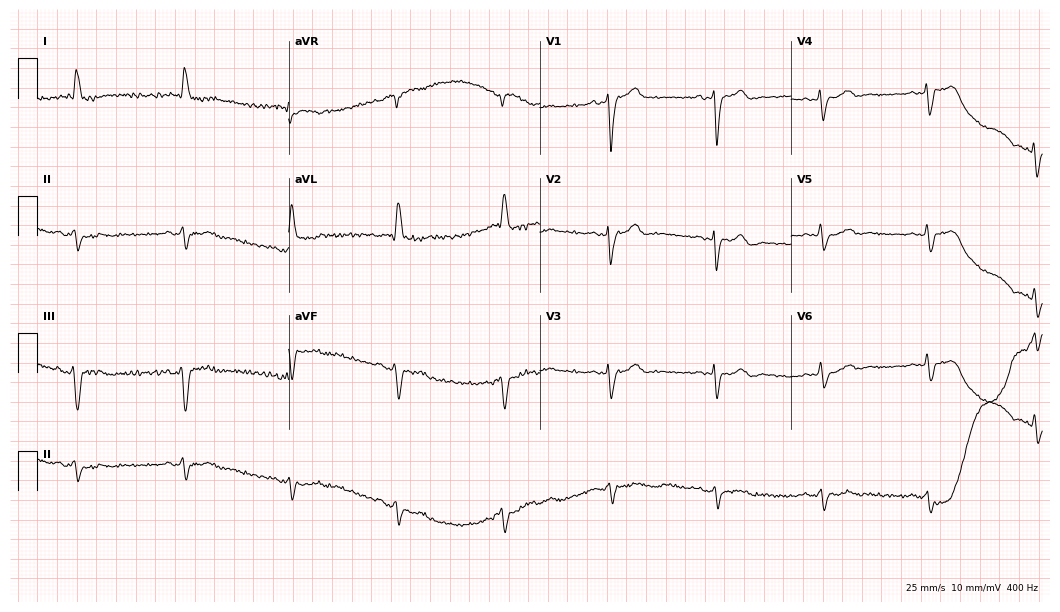
12-lead ECG from an 84-year-old female patient. Screened for six findings — first-degree AV block, right bundle branch block, left bundle branch block, sinus bradycardia, atrial fibrillation, sinus tachycardia — none is recorded. Other findings, if any, are not listed.